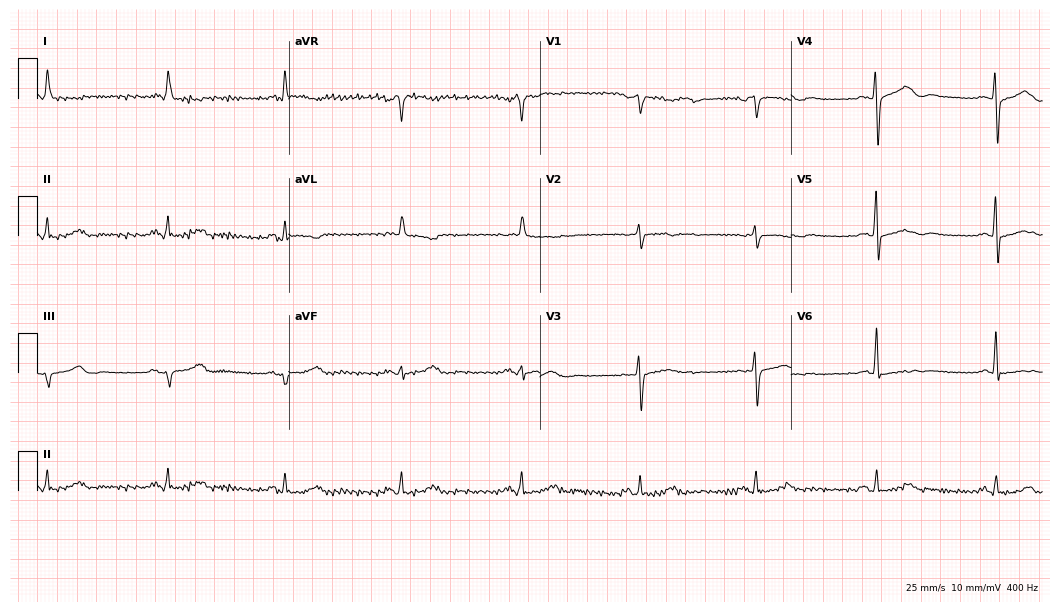
12-lead ECG from a female patient, 78 years old (10.2-second recording at 400 Hz). No first-degree AV block, right bundle branch block (RBBB), left bundle branch block (LBBB), sinus bradycardia, atrial fibrillation (AF) or sinus tachycardia recorded for this tracing.